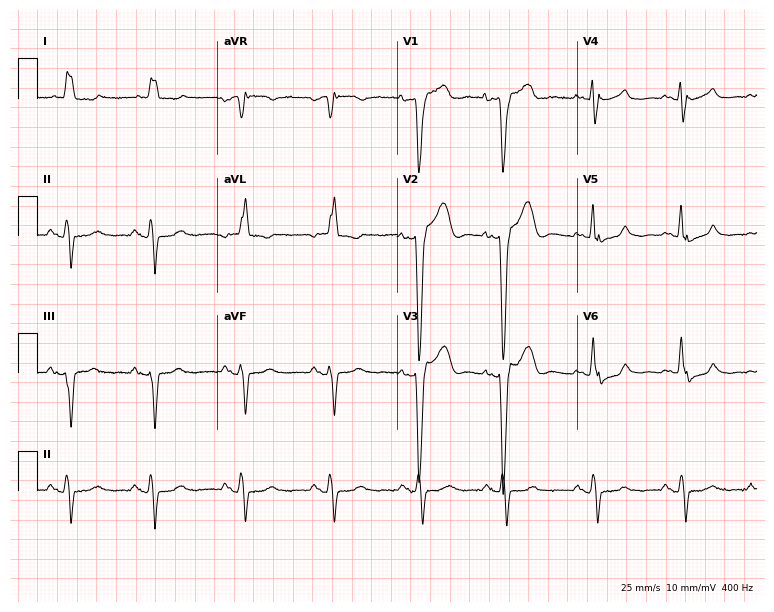
12-lead ECG from a female, 82 years old. Screened for six findings — first-degree AV block, right bundle branch block, left bundle branch block, sinus bradycardia, atrial fibrillation, sinus tachycardia — none is recorded.